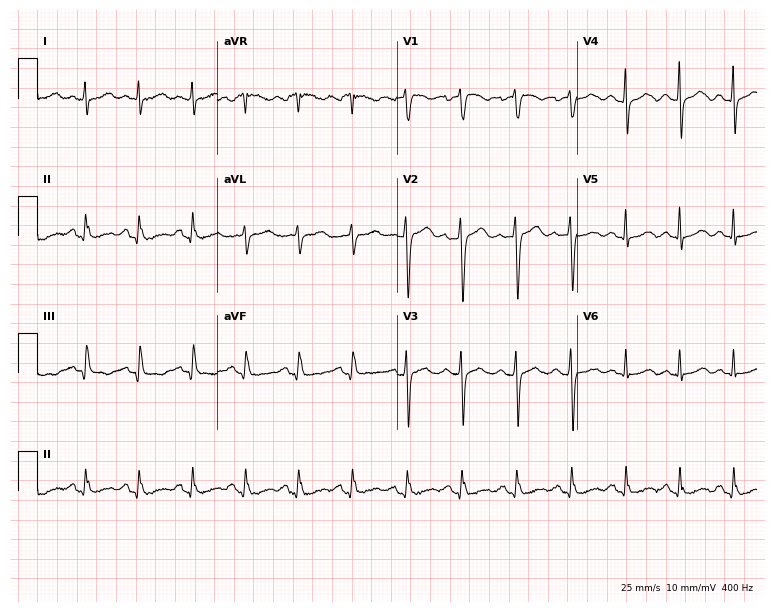
Electrocardiogram, a 45-year-old female patient. Interpretation includes sinus tachycardia (a sinus rate of 100 beats per minute or more).